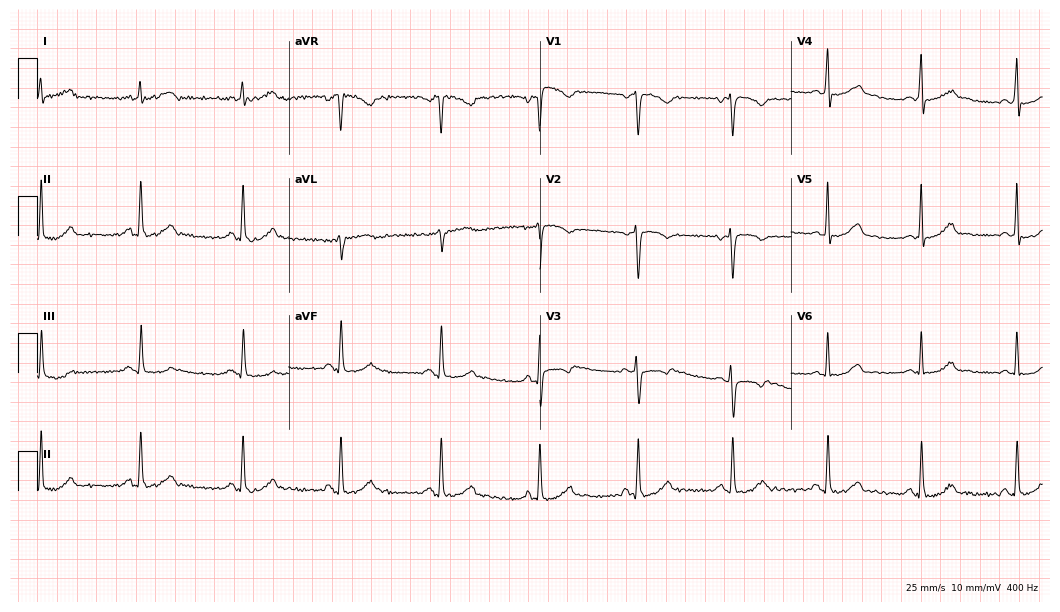
Resting 12-lead electrocardiogram (10.2-second recording at 400 Hz). Patient: a 34-year-old female. None of these six findings is recorded: first-degree AV block, right bundle branch block, left bundle branch block, sinus bradycardia, atrial fibrillation, sinus tachycardia.